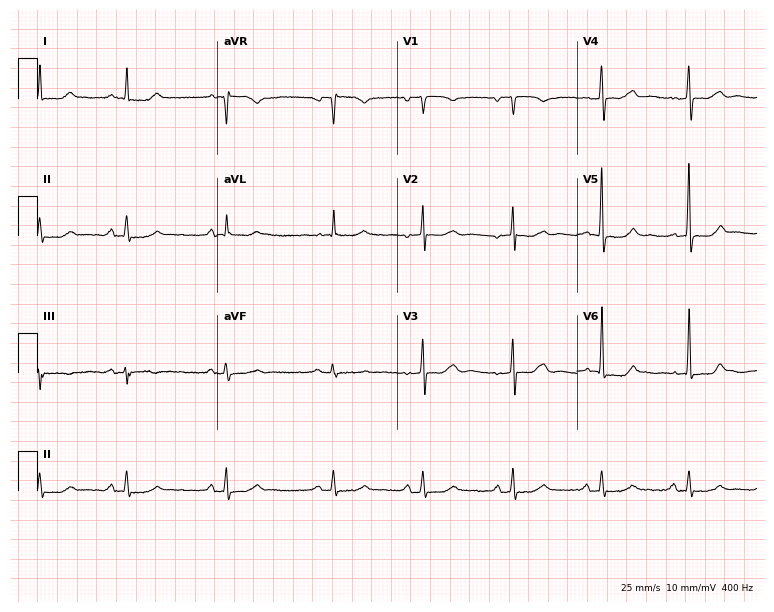
12-lead ECG from a woman, 82 years old. Screened for six findings — first-degree AV block, right bundle branch block, left bundle branch block, sinus bradycardia, atrial fibrillation, sinus tachycardia — none is recorded.